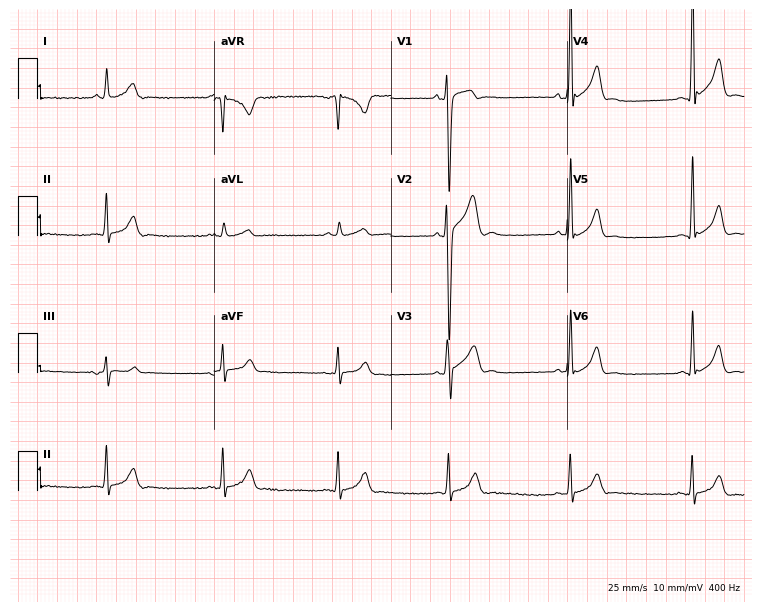
12-lead ECG from a man, 20 years old. No first-degree AV block, right bundle branch block (RBBB), left bundle branch block (LBBB), sinus bradycardia, atrial fibrillation (AF) or sinus tachycardia recorded for this tracing.